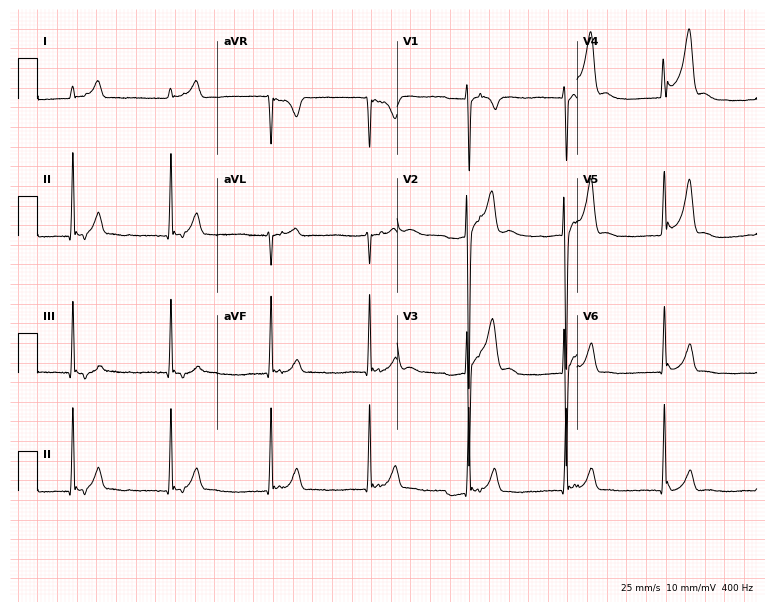
12-lead ECG (7.3-second recording at 400 Hz) from a man, 20 years old. Screened for six findings — first-degree AV block, right bundle branch block, left bundle branch block, sinus bradycardia, atrial fibrillation, sinus tachycardia — none is recorded.